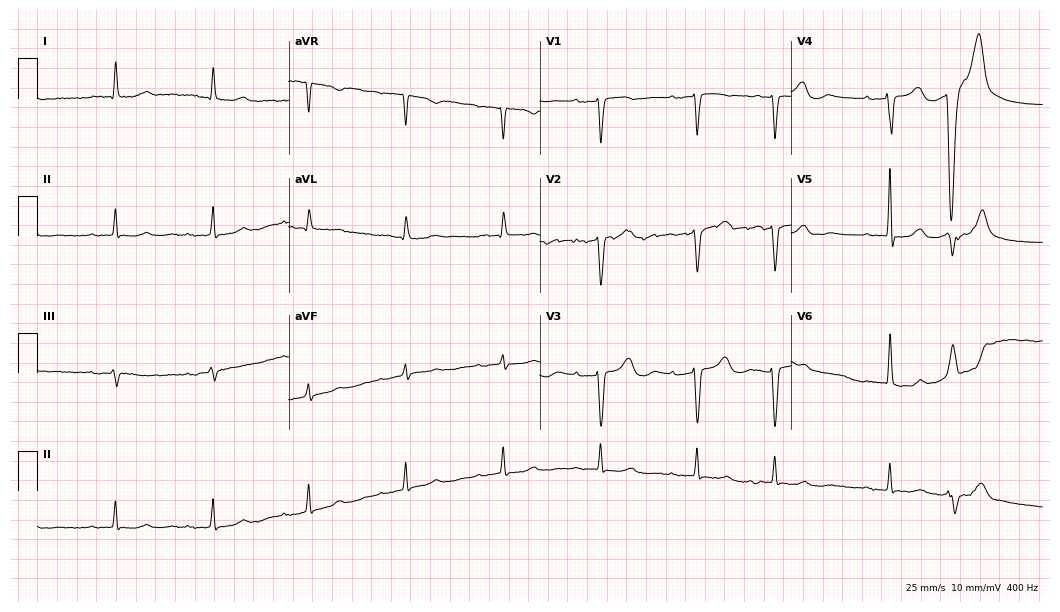
ECG — a 79-year-old female patient. Labelled as a normal ECG.